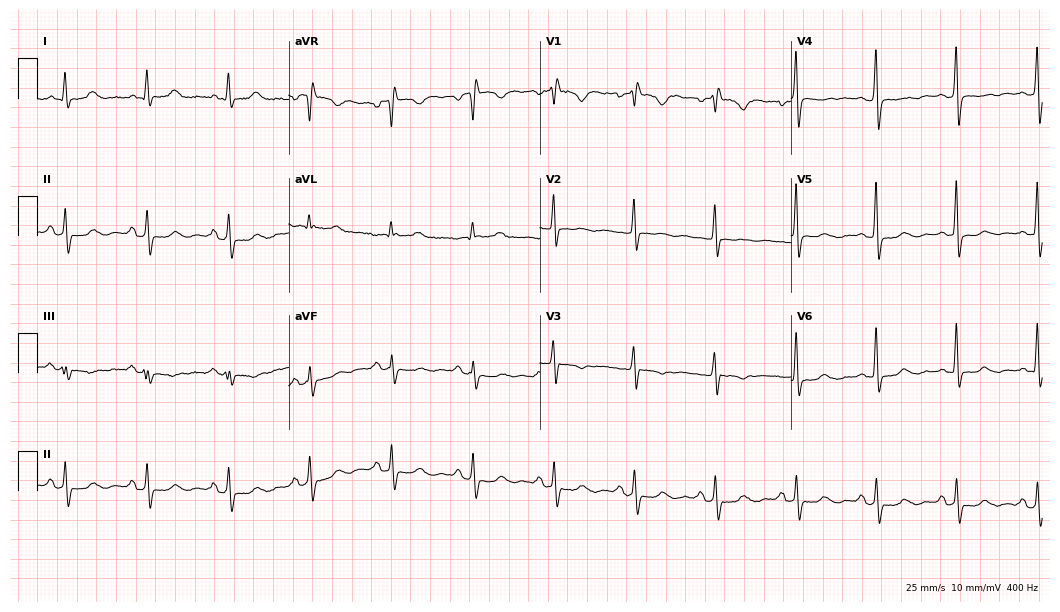
Electrocardiogram (10.2-second recording at 400 Hz), a 48-year-old woman. Of the six screened findings (first-degree AV block, right bundle branch block (RBBB), left bundle branch block (LBBB), sinus bradycardia, atrial fibrillation (AF), sinus tachycardia), none is recorded. Other findings, if any, are not listed.